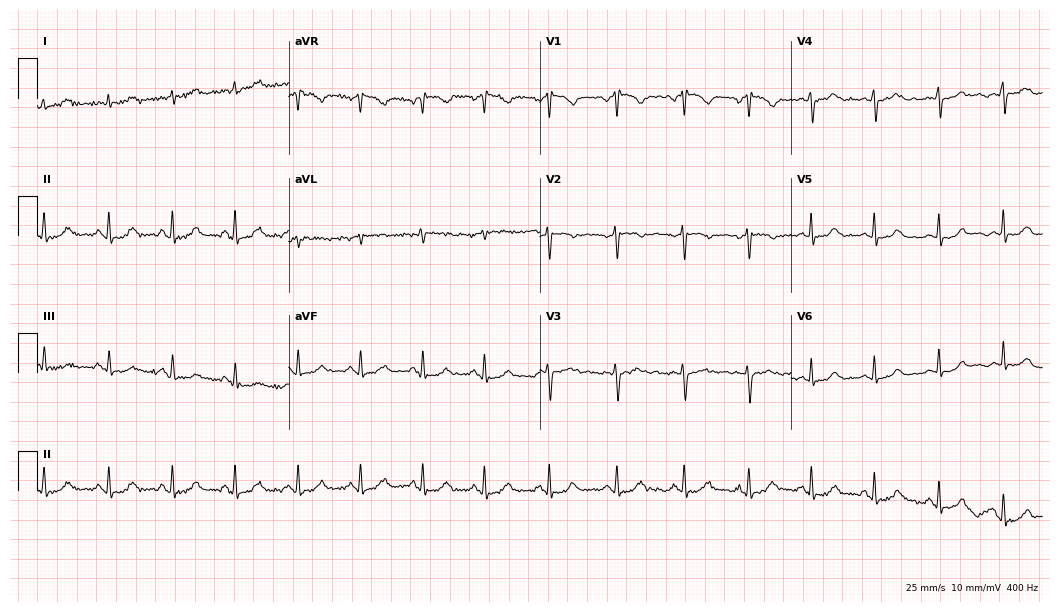
12-lead ECG from a 29-year-old woman. Recorded interpretation: within normal limits.